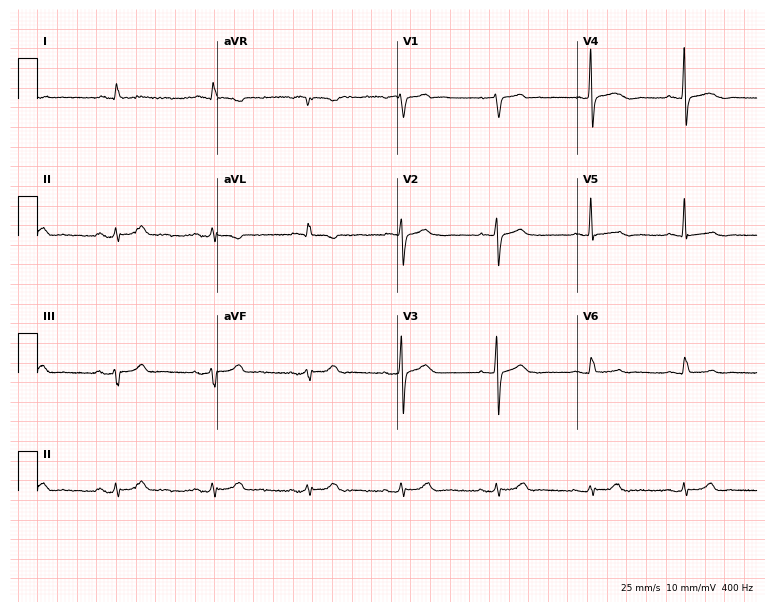
Electrocardiogram (7.3-second recording at 400 Hz), a male patient, 76 years old. Overall reading on record: normal ECG.